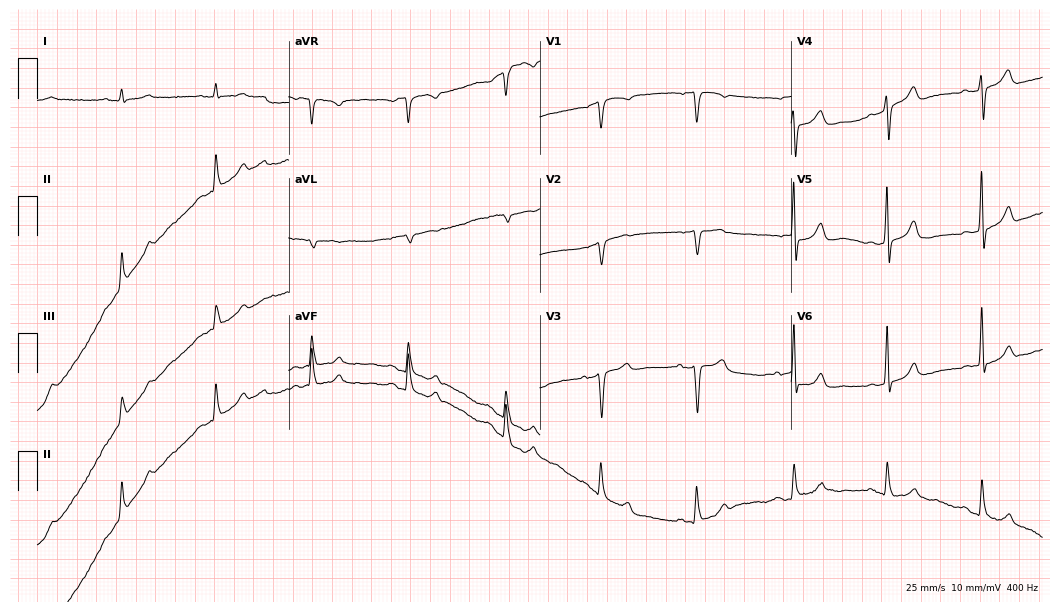
12-lead ECG (10.2-second recording at 400 Hz) from a man, 75 years old. Screened for six findings — first-degree AV block, right bundle branch block, left bundle branch block, sinus bradycardia, atrial fibrillation, sinus tachycardia — none is recorded.